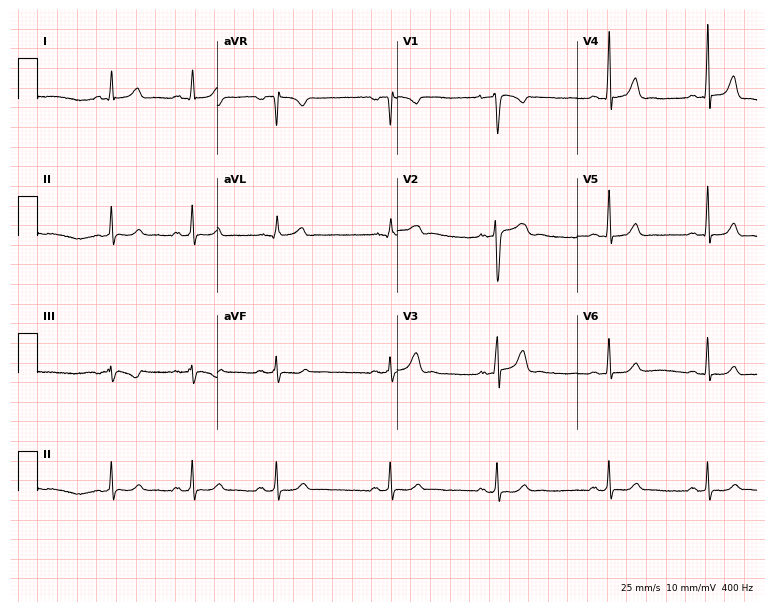
Electrocardiogram (7.3-second recording at 400 Hz), a female, 24 years old. Overall reading on record: normal ECG.